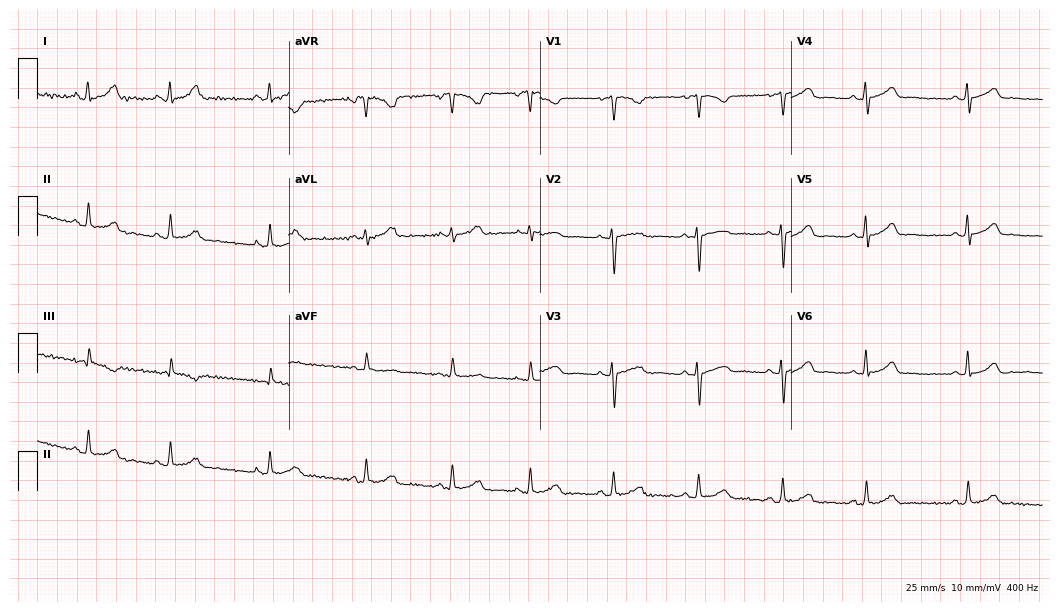
Standard 12-lead ECG recorded from a 23-year-old female (10.2-second recording at 400 Hz). Read as a normal ECG.